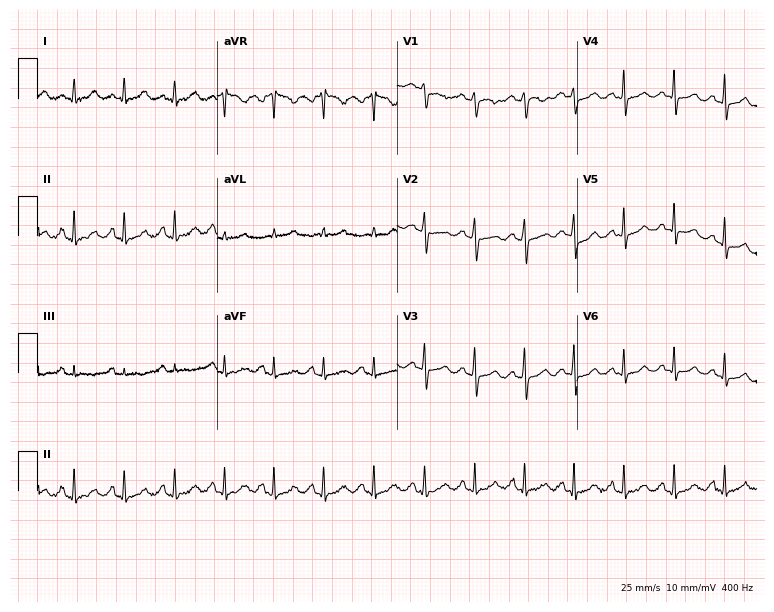
Electrocardiogram, a woman, 31 years old. Interpretation includes sinus tachycardia (a sinus rate of 100 beats per minute or more).